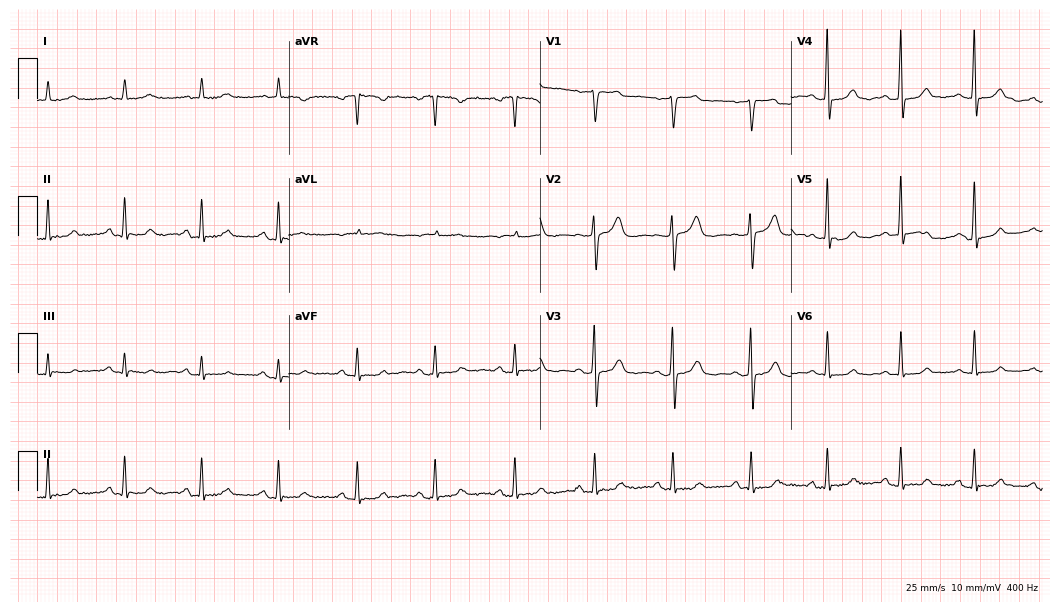
ECG — a female patient, 79 years old. Labelled as a normal ECG.